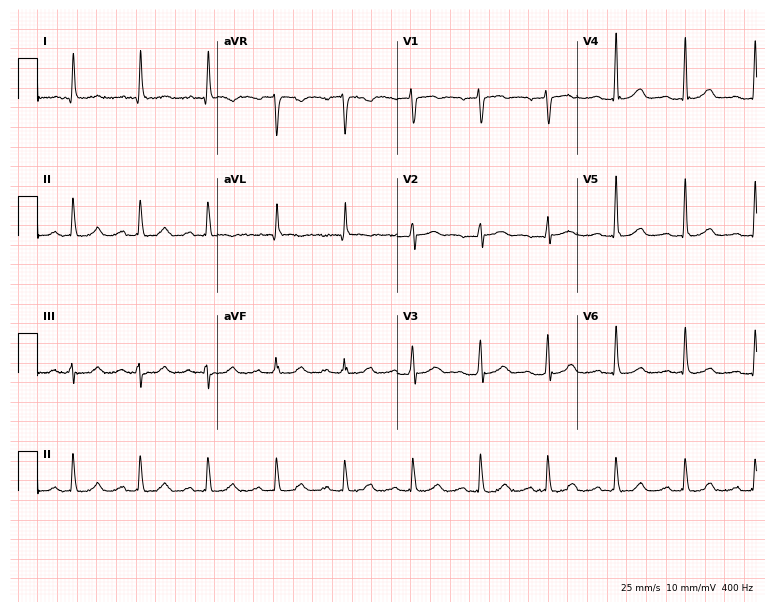
12-lead ECG from a 76-year-old woman (7.3-second recording at 400 Hz). Shows first-degree AV block.